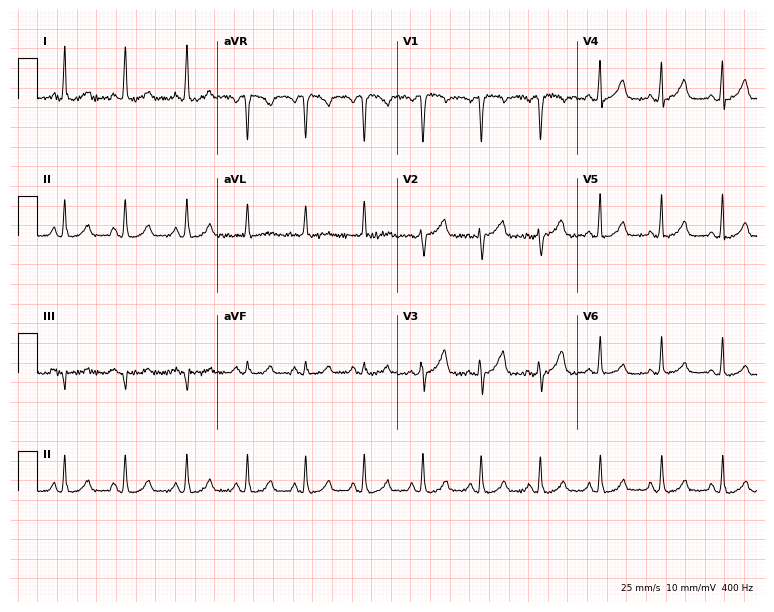
12-lead ECG from a 48-year-old female patient. Labelled as a normal ECG.